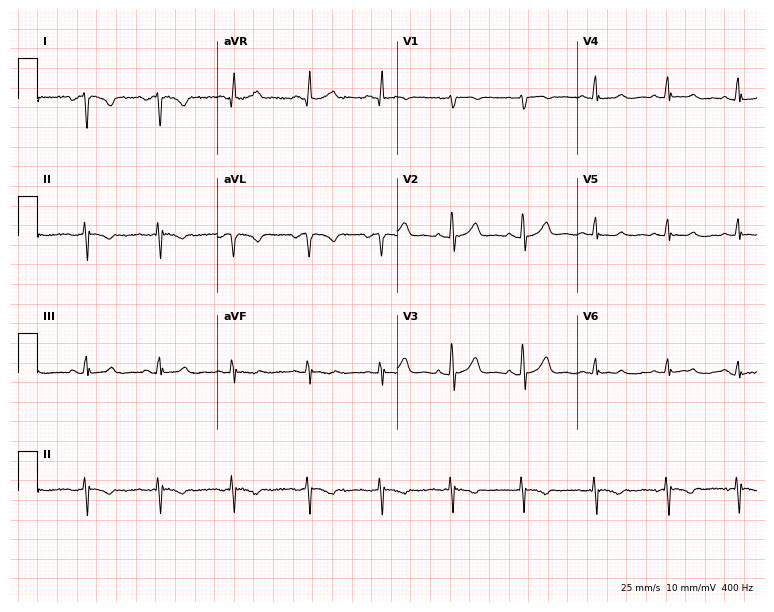
Resting 12-lead electrocardiogram. Patient: a 23-year-old female. None of these six findings is recorded: first-degree AV block, right bundle branch block, left bundle branch block, sinus bradycardia, atrial fibrillation, sinus tachycardia. Other findings, if any, are not listed.